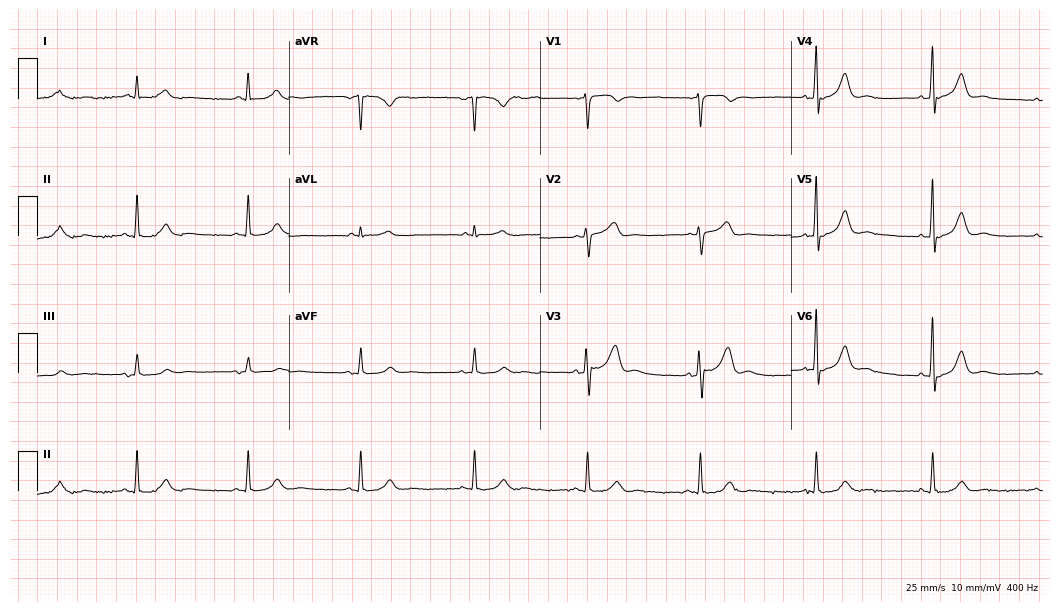
12-lead ECG from a 63-year-old male. Recorded interpretation: within normal limits.